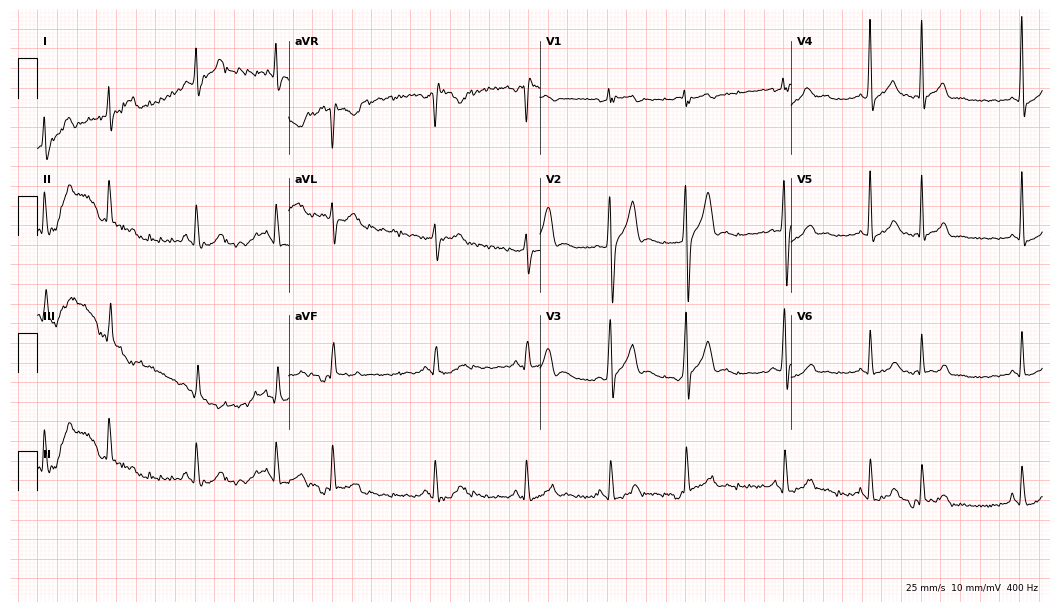
Electrocardiogram (10.2-second recording at 400 Hz), a 23-year-old man. Of the six screened findings (first-degree AV block, right bundle branch block, left bundle branch block, sinus bradycardia, atrial fibrillation, sinus tachycardia), none is recorded.